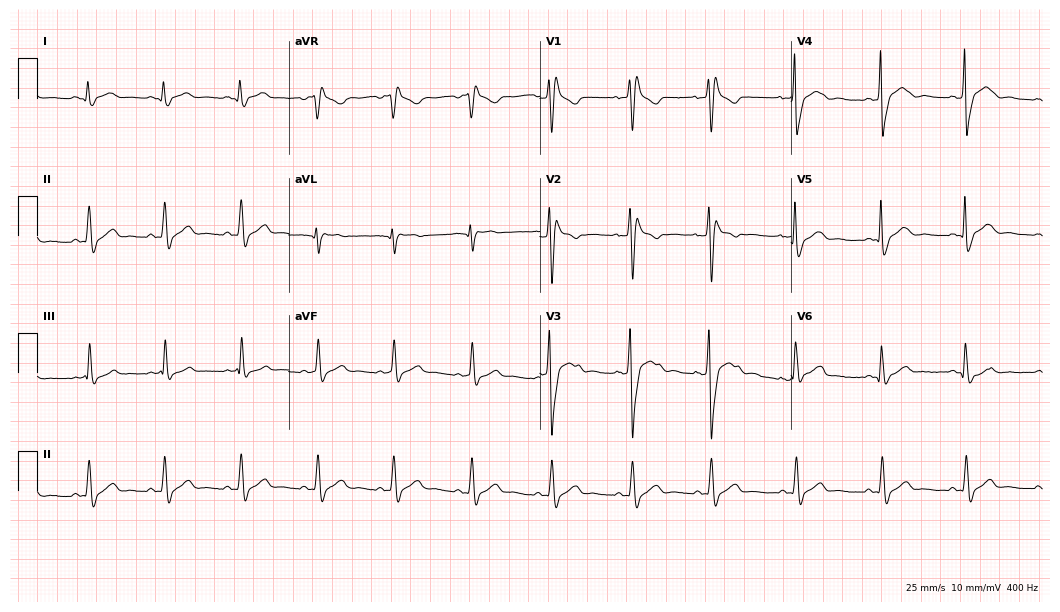
Electrocardiogram (10.2-second recording at 400 Hz), a female, 49 years old. Interpretation includes right bundle branch block.